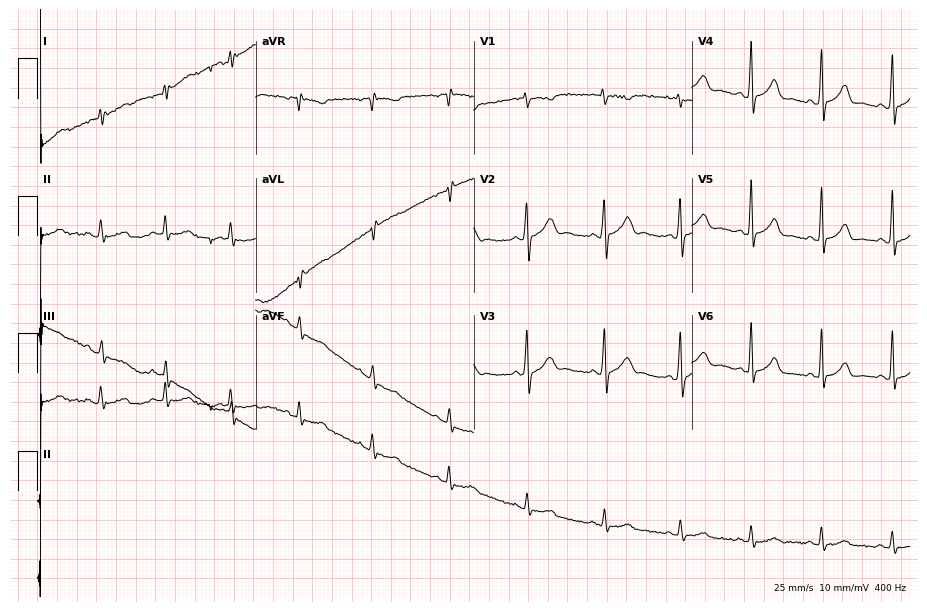
Resting 12-lead electrocardiogram (8.9-second recording at 400 Hz). Patient: a 24-year-old female. None of these six findings is recorded: first-degree AV block, right bundle branch block (RBBB), left bundle branch block (LBBB), sinus bradycardia, atrial fibrillation (AF), sinus tachycardia.